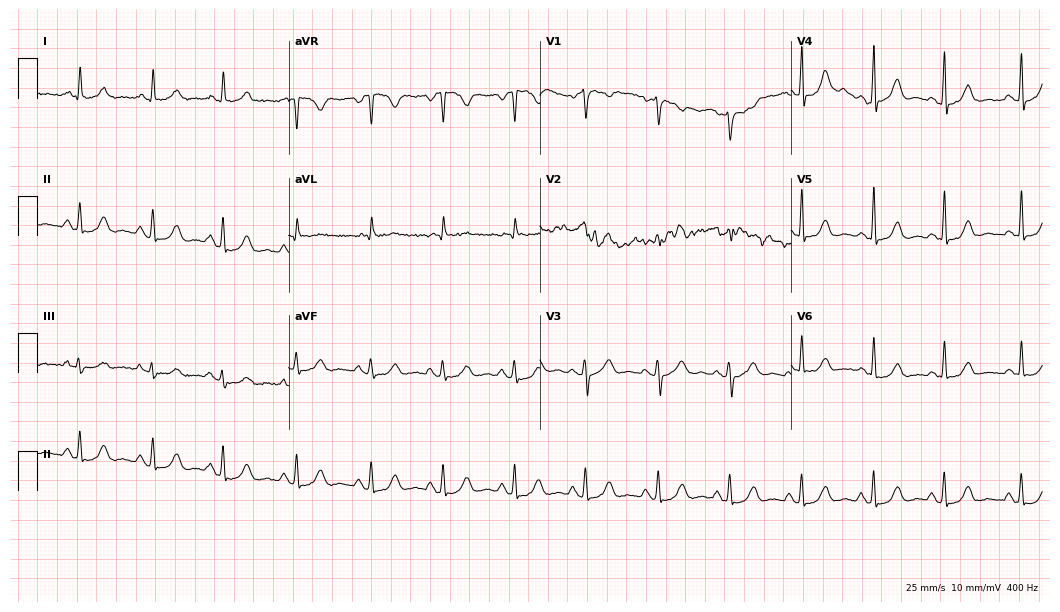
Standard 12-lead ECG recorded from a 75-year-old female. Read as a normal ECG.